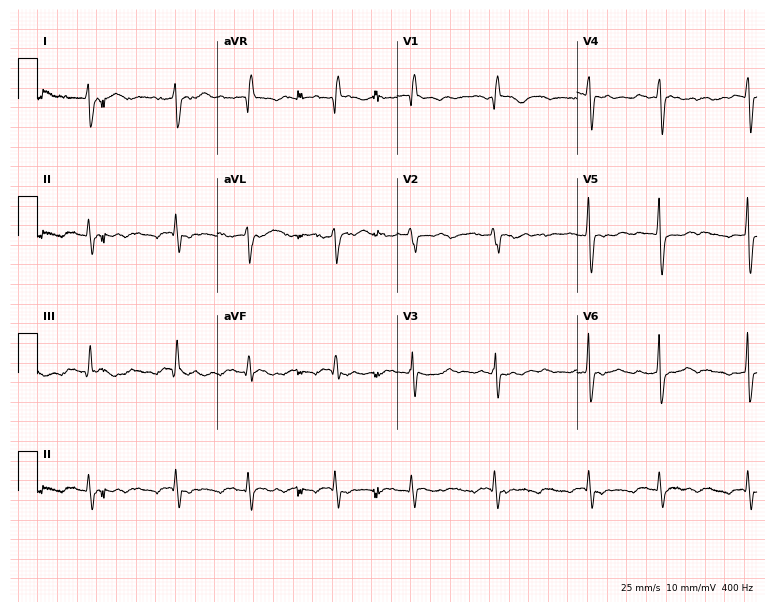
12-lead ECG from a 45-year-old female patient. Findings include atrial fibrillation.